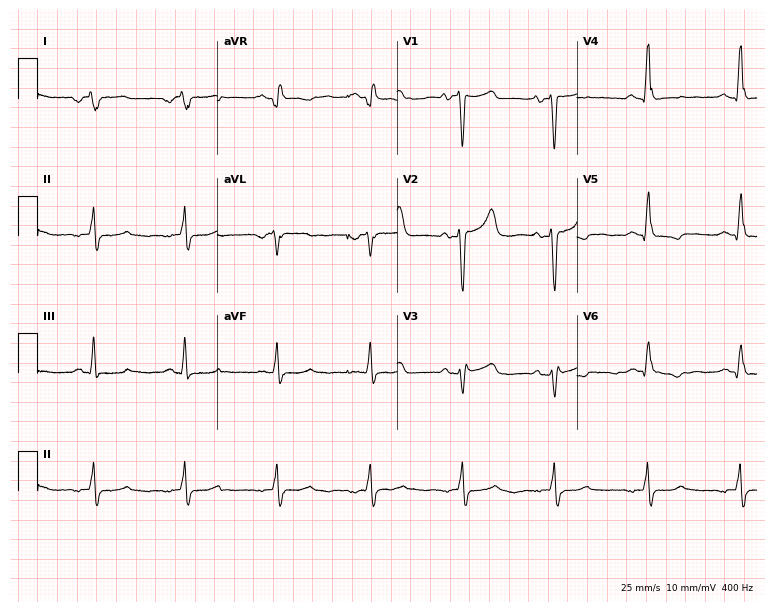
12-lead ECG from a 54-year-old male patient. Screened for six findings — first-degree AV block, right bundle branch block, left bundle branch block, sinus bradycardia, atrial fibrillation, sinus tachycardia — none is recorded.